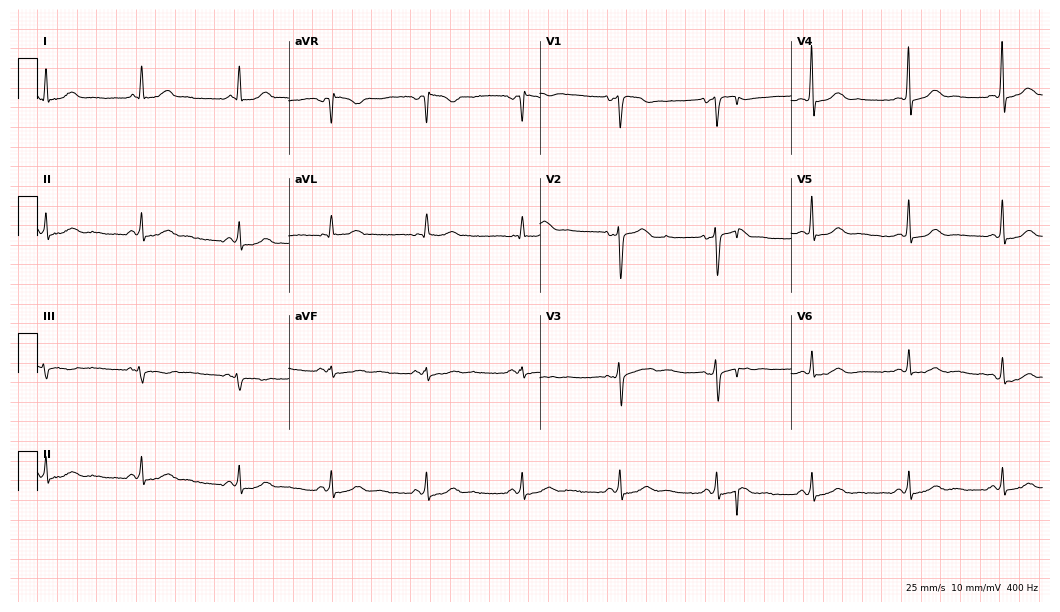
Electrocardiogram, a female, 48 years old. Of the six screened findings (first-degree AV block, right bundle branch block, left bundle branch block, sinus bradycardia, atrial fibrillation, sinus tachycardia), none is recorded. Other findings, if any, are not listed.